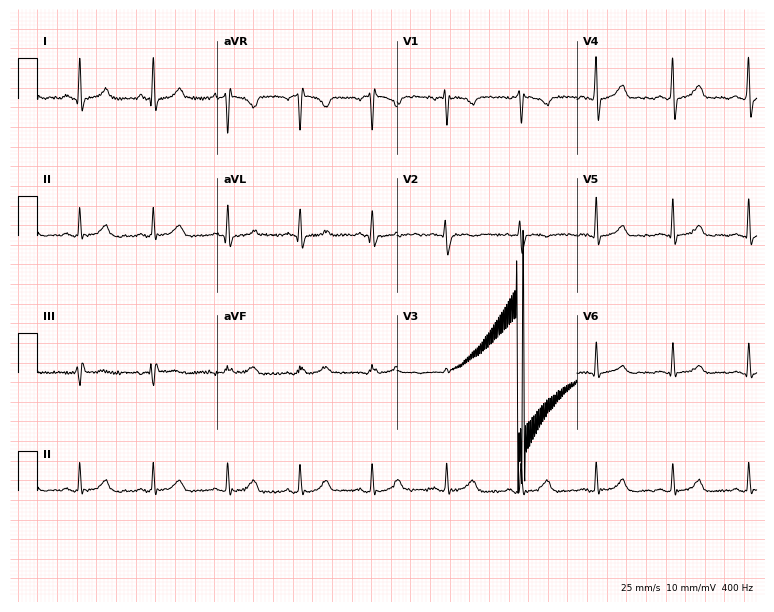
Electrocardiogram (7.3-second recording at 400 Hz), a woman, 42 years old. Overall reading on record: normal ECG.